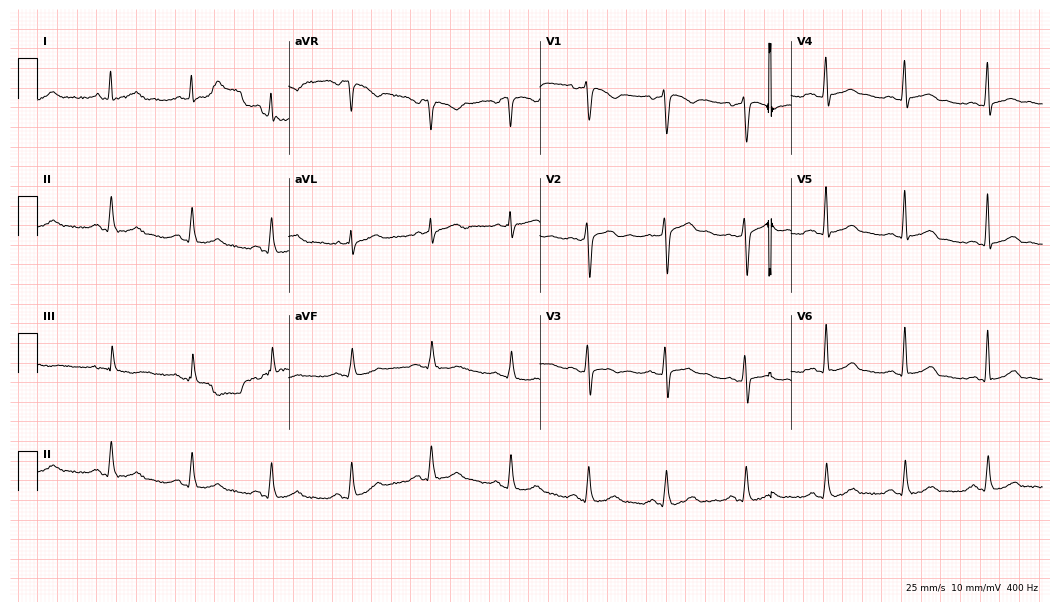
12-lead ECG (10.2-second recording at 400 Hz) from a 47-year-old male patient. Screened for six findings — first-degree AV block, right bundle branch block, left bundle branch block, sinus bradycardia, atrial fibrillation, sinus tachycardia — none is recorded. Other findings, if any, are not listed.